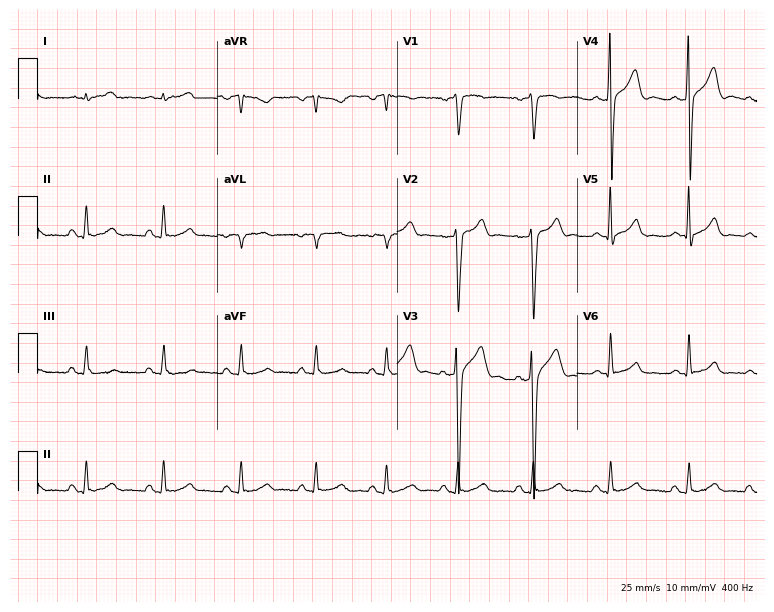
Standard 12-lead ECG recorded from a 33-year-old male patient (7.3-second recording at 400 Hz). None of these six findings is recorded: first-degree AV block, right bundle branch block, left bundle branch block, sinus bradycardia, atrial fibrillation, sinus tachycardia. Other findings, if any, are not listed.